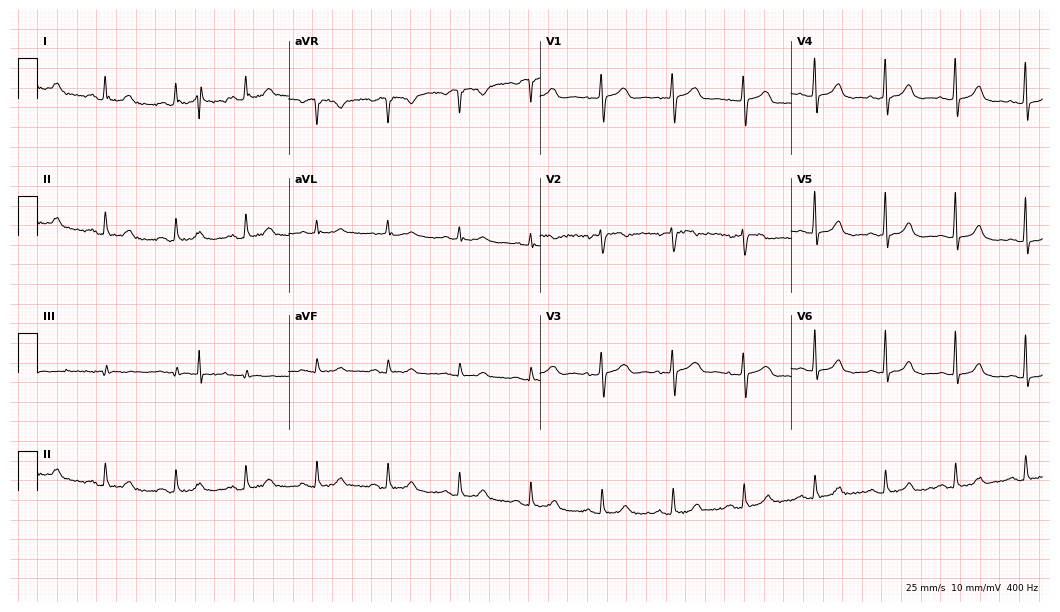
Resting 12-lead electrocardiogram (10.2-second recording at 400 Hz). Patient: a female, 69 years old. Read as a normal ECG.